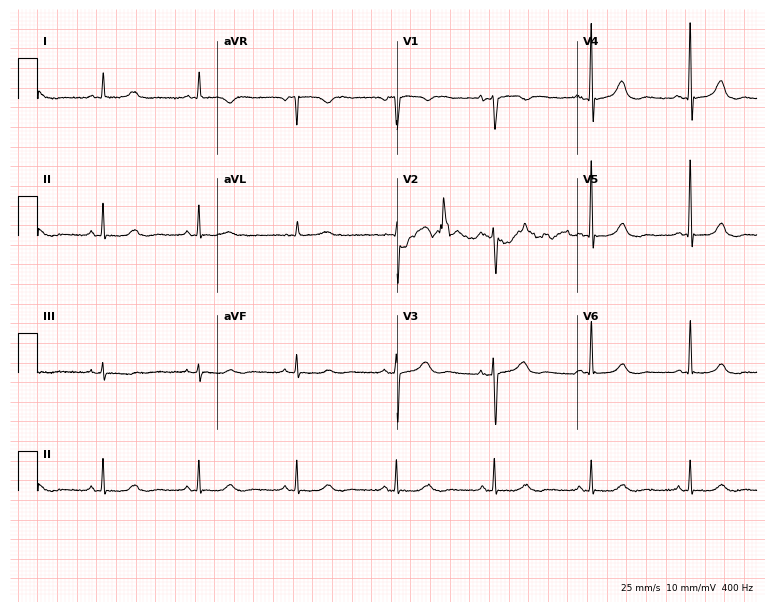
12-lead ECG (7.3-second recording at 400 Hz) from a 78-year-old woman. Labelled as a normal ECG.